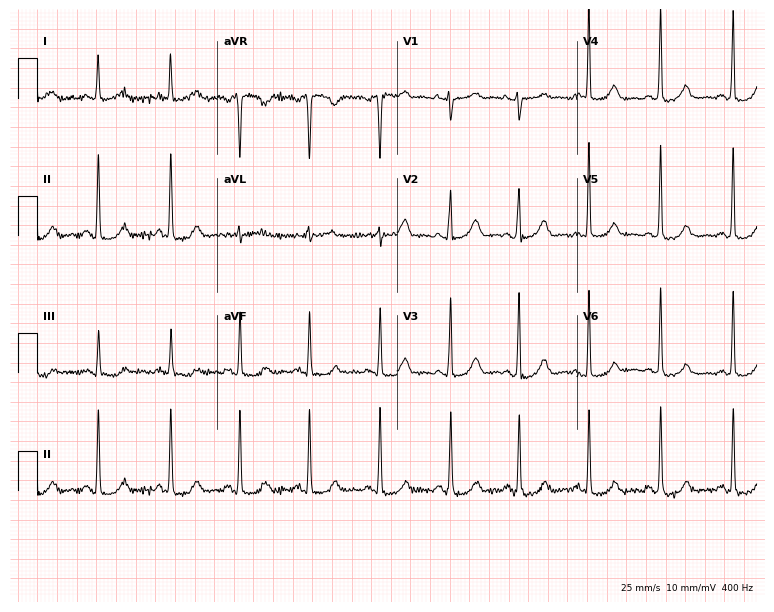
Electrocardiogram, a female patient, 77 years old. Overall reading on record: normal ECG.